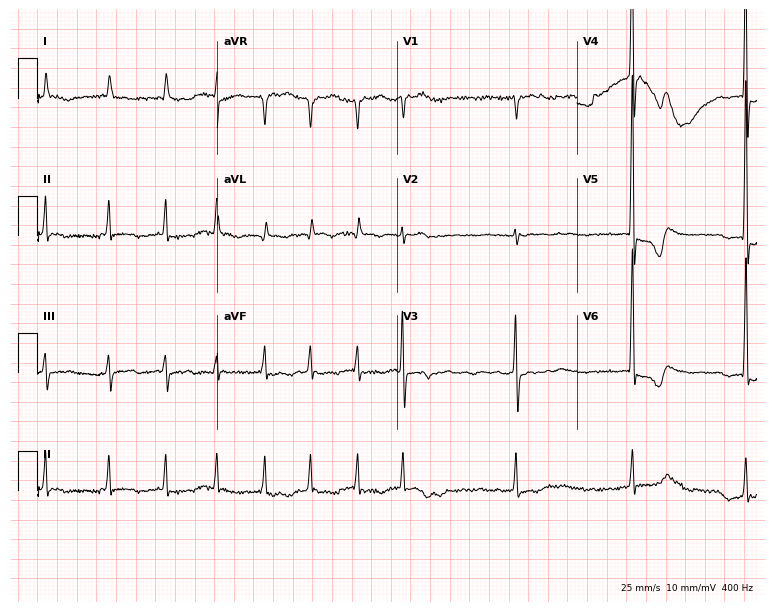
12-lead ECG from an 83-year-old woman. Findings include atrial fibrillation (AF).